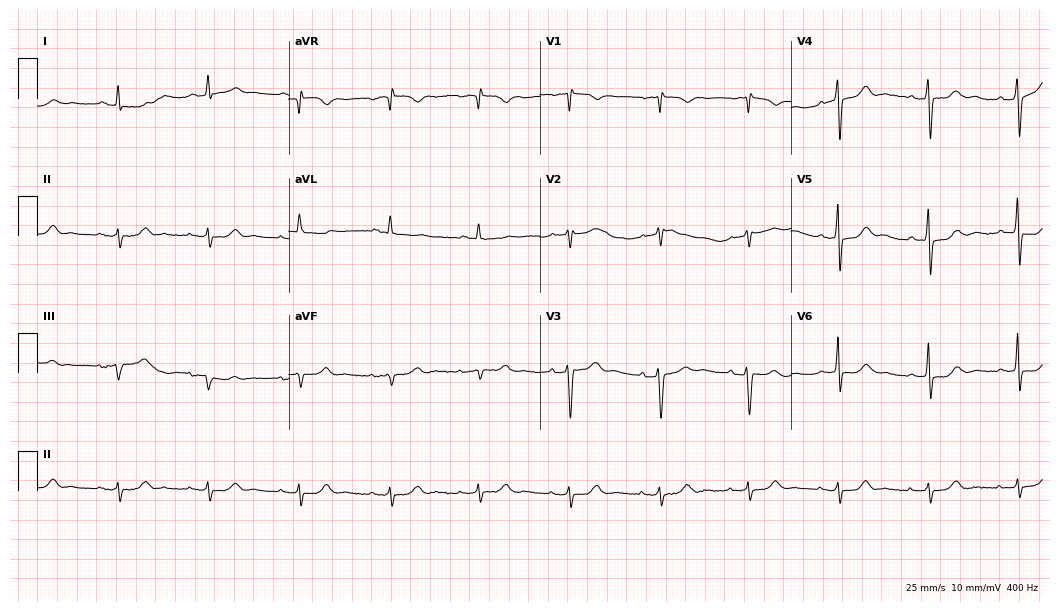
Standard 12-lead ECG recorded from a 70-year-old man (10.2-second recording at 400 Hz). None of these six findings is recorded: first-degree AV block, right bundle branch block, left bundle branch block, sinus bradycardia, atrial fibrillation, sinus tachycardia.